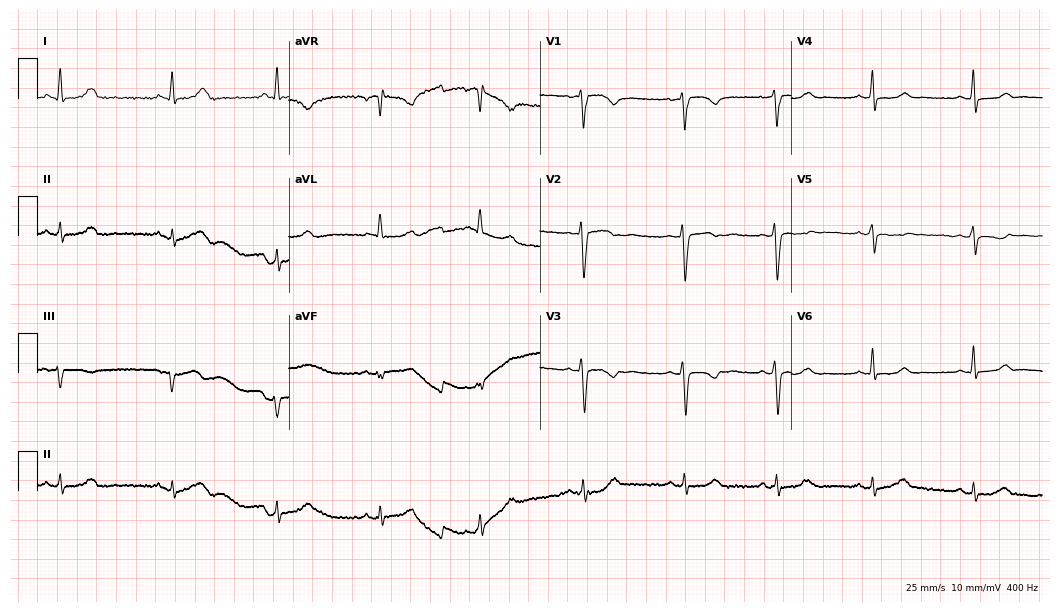
Standard 12-lead ECG recorded from a woman, 58 years old (10.2-second recording at 400 Hz). None of these six findings is recorded: first-degree AV block, right bundle branch block (RBBB), left bundle branch block (LBBB), sinus bradycardia, atrial fibrillation (AF), sinus tachycardia.